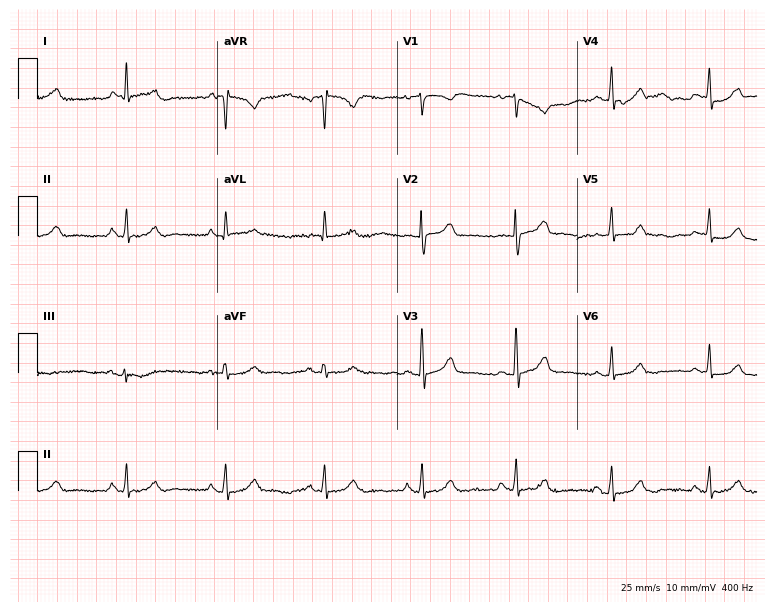
ECG — a female patient, 61 years old. Screened for six findings — first-degree AV block, right bundle branch block (RBBB), left bundle branch block (LBBB), sinus bradycardia, atrial fibrillation (AF), sinus tachycardia — none is recorded.